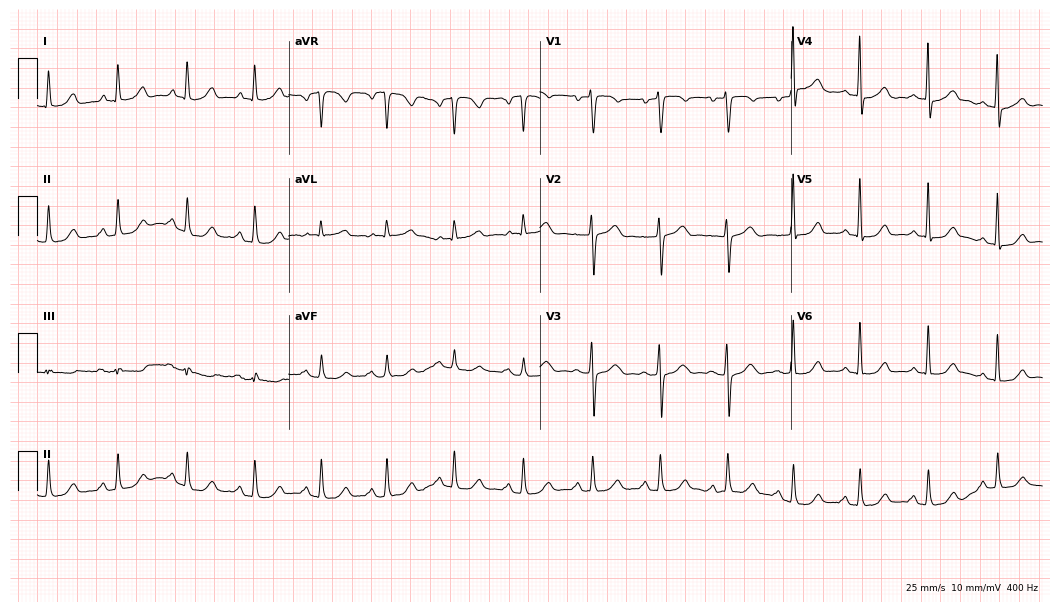
Electrocardiogram (10.2-second recording at 400 Hz), a female patient, 63 years old. Overall reading on record: normal ECG.